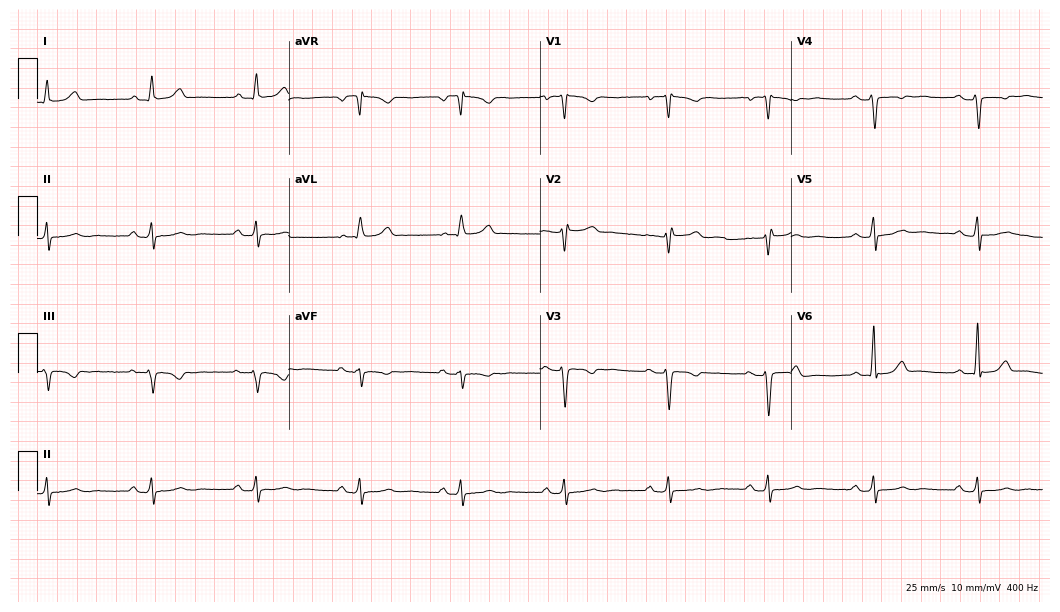
ECG — a female, 47 years old. Screened for six findings — first-degree AV block, right bundle branch block, left bundle branch block, sinus bradycardia, atrial fibrillation, sinus tachycardia — none is recorded. Other findings, if any, are not listed.